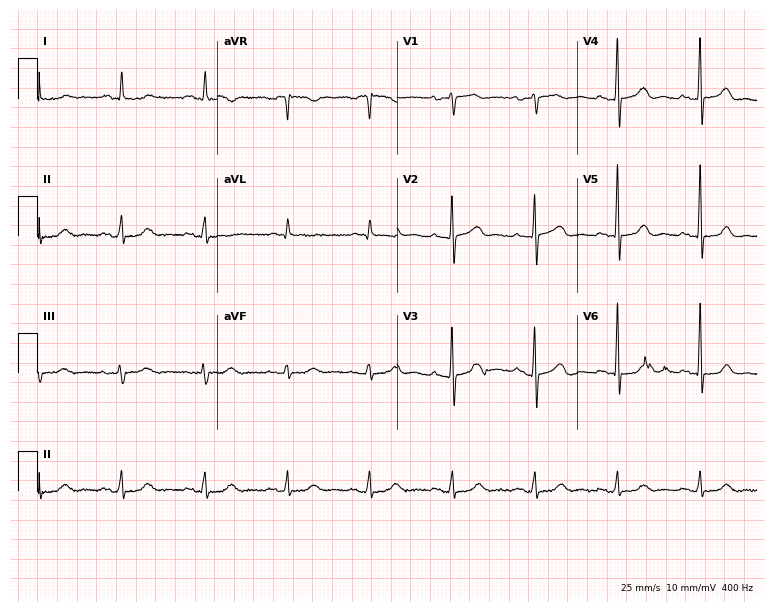
Electrocardiogram, a 75-year-old woman. Of the six screened findings (first-degree AV block, right bundle branch block (RBBB), left bundle branch block (LBBB), sinus bradycardia, atrial fibrillation (AF), sinus tachycardia), none is recorded. Only these six findings were labelled.